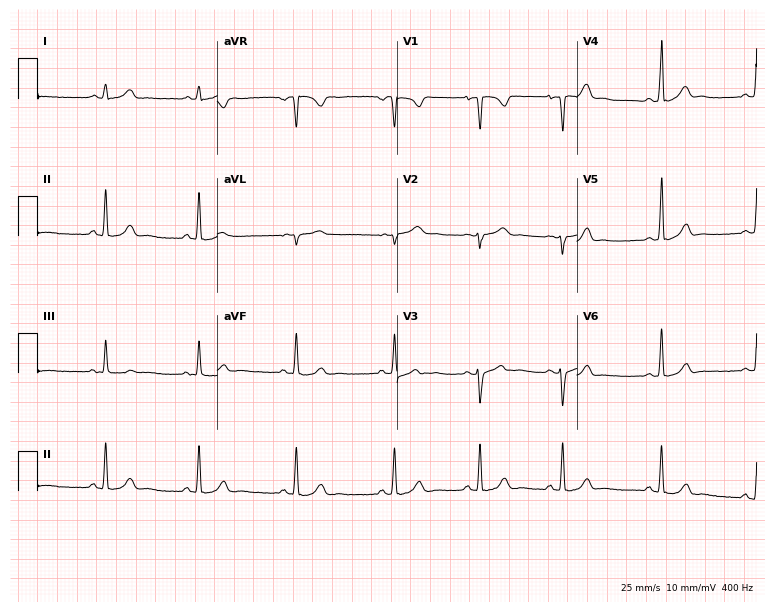
12-lead ECG from a female, 17 years old (7.3-second recording at 400 Hz). No first-degree AV block, right bundle branch block, left bundle branch block, sinus bradycardia, atrial fibrillation or sinus tachycardia recorded for this tracing.